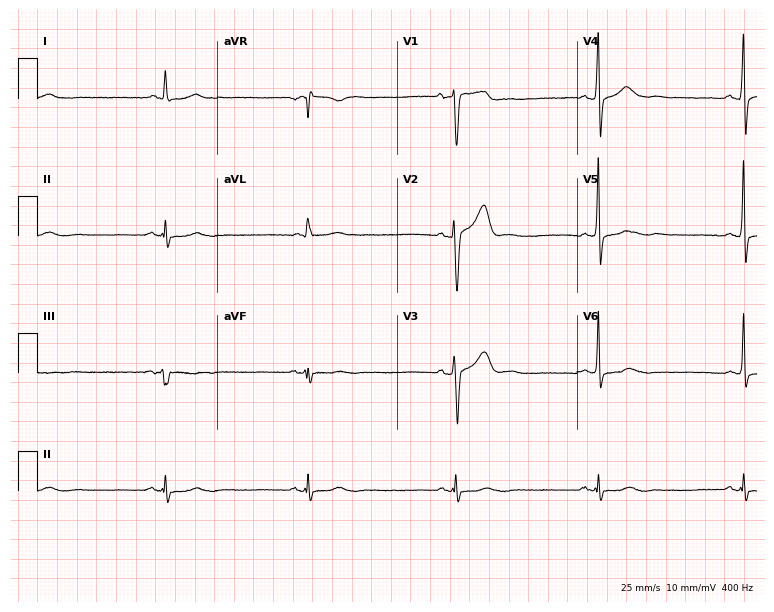
Resting 12-lead electrocardiogram (7.3-second recording at 400 Hz). Patient: a 63-year-old man. The tracing shows sinus bradycardia (a sinus rate of 50 beats per minute or less).